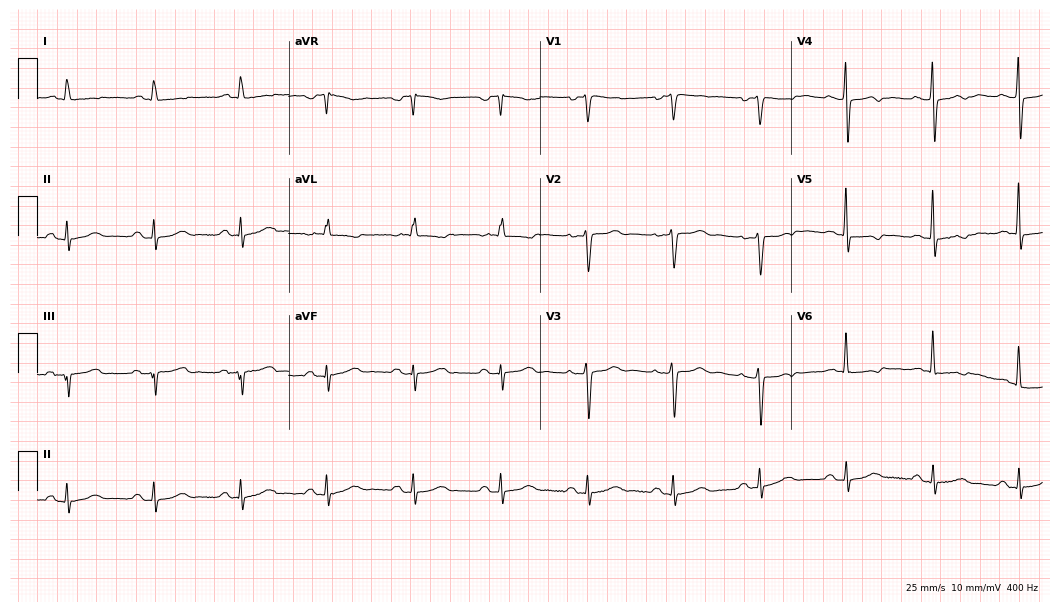
Electrocardiogram, a 76-year-old female. Of the six screened findings (first-degree AV block, right bundle branch block, left bundle branch block, sinus bradycardia, atrial fibrillation, sinus tachycardia), none is recorded. Only these six findings were labelled.